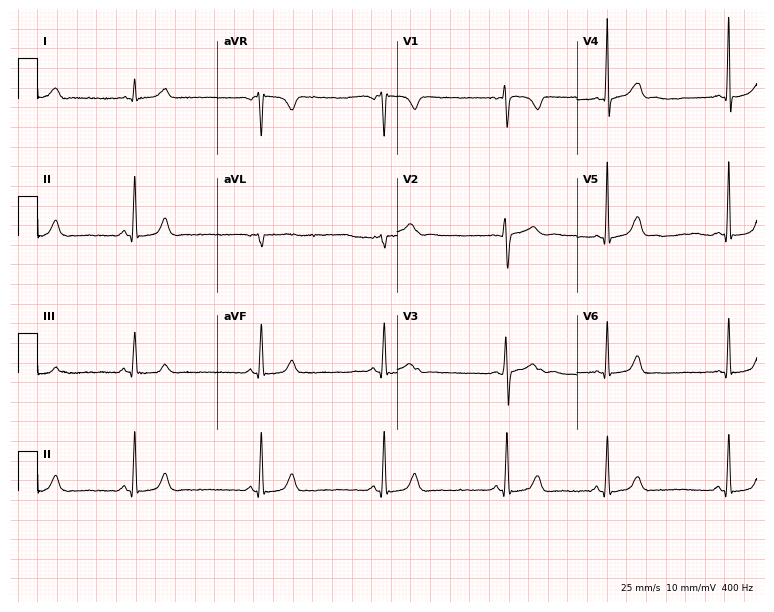
Electrocardiogram (7.3-second recording at 400 Hz), a 34-year-old female patient. Interpretation includes sinus bradycardia (a sinus rate of 50 beats per minute or less).